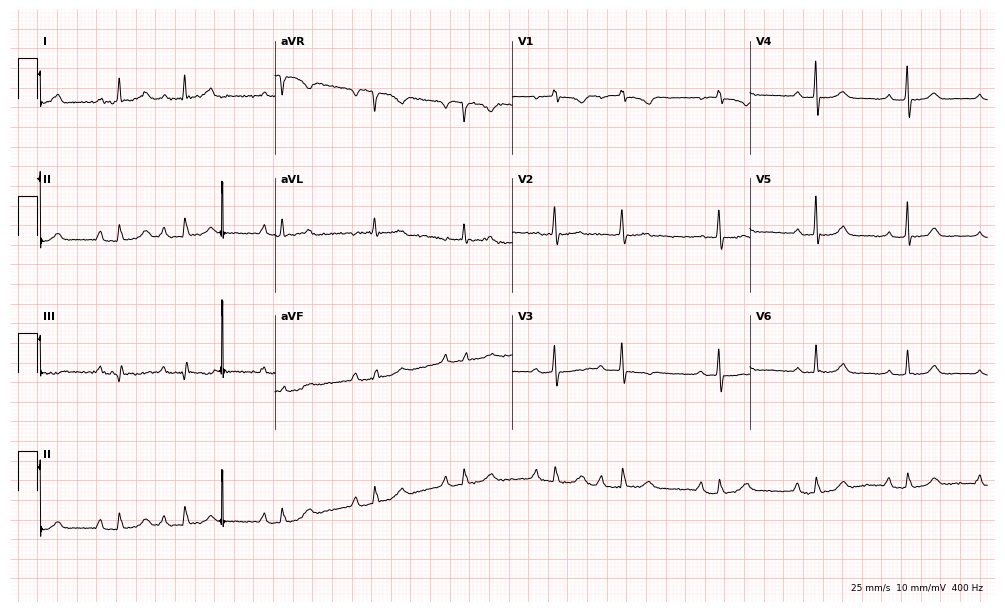
Standard 12-lead ECG recorded from a 77-year-old female patient. None of these six findings is recorded: first-degree AV block, right bundle branch block (RBBB), left bundle branch block (LBBB), sinus bradycardia, atrial fibrillation (AF), sinus tachycardia. Only these six findings were labelled.